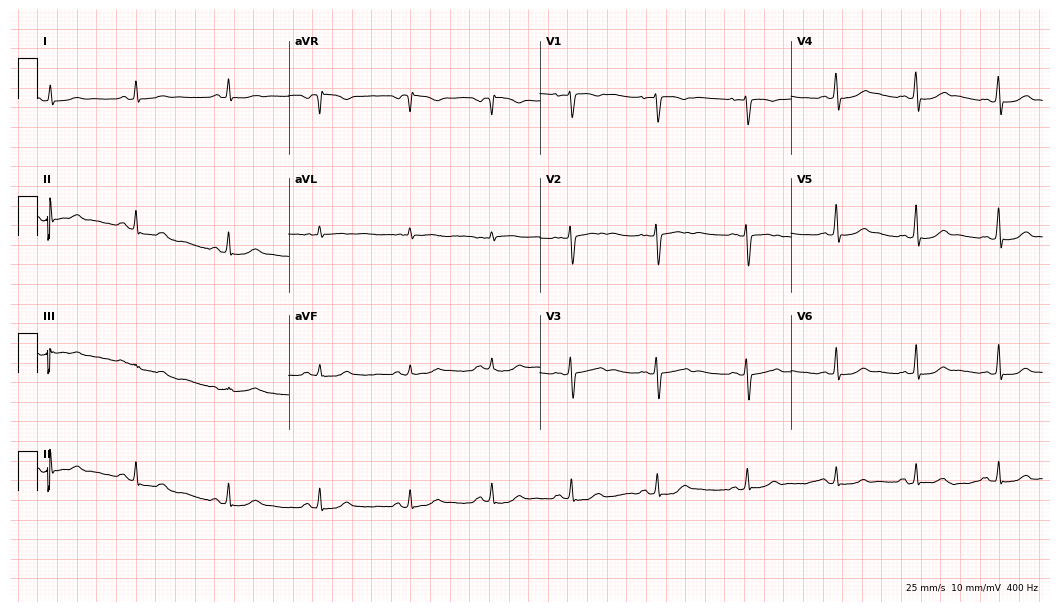
12-lead ECG (10.2-second recording at 400 Hz) from a 19-year-old female. Screened for six findings — first-degree AV block, right bundle branch block, left bundle branch block, sinus bradycardia, atrial fibrillation, sinus tachycardia — none is recorded. Other findings, if any, are not listed.